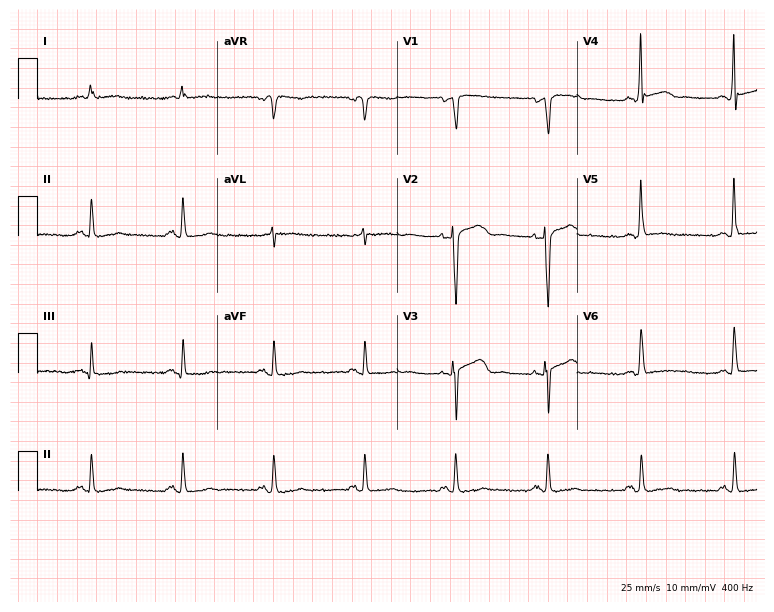
Electrocardiogram (7.3-second recording at 400 Hz), a 64-year-old man. Of the six screened findings (first-degree AV block, right bundle branch block, left bundle branch block, sinus bradycardia, atrial fibrillation, sinus tachycardia), none is recorded. Other findings, if any, are not listed.